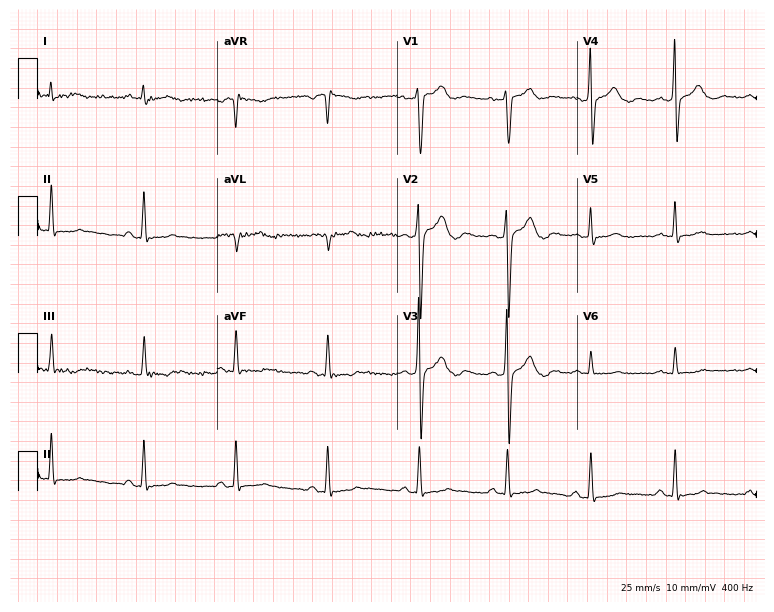
Standard 12-lead ECG recorded from a 52-year-old male patient. None of these six findings is recorded: first-degree AV block, right bundle branch block, left bundle branch block, sinus bradycardia, atrial fibrillation, sinus tachycardia.